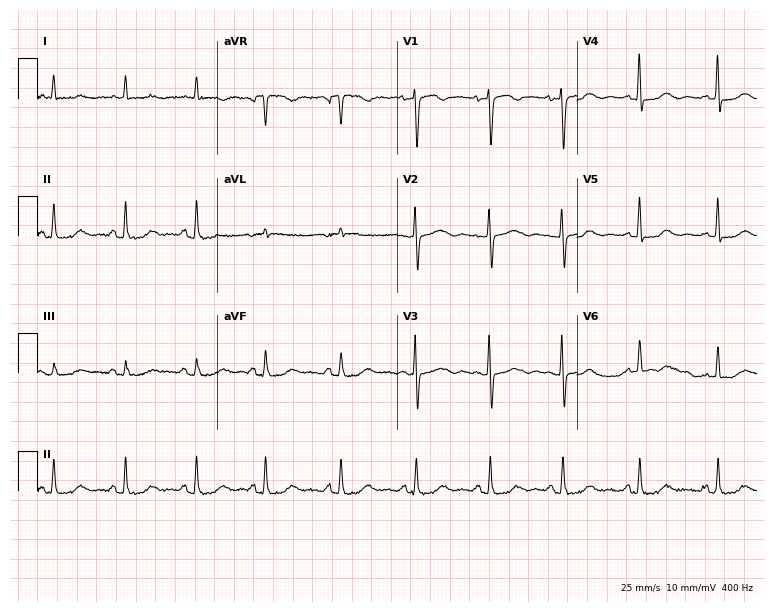
12-lead ECG from a 59-year-old female (7.3-second recording at 400 Hz). No first-degree AV block, right bundle branch block, left bundle branch block, sinus bradycardia, atrial fibrillation or sinus tachycardia recorded for this tracing.